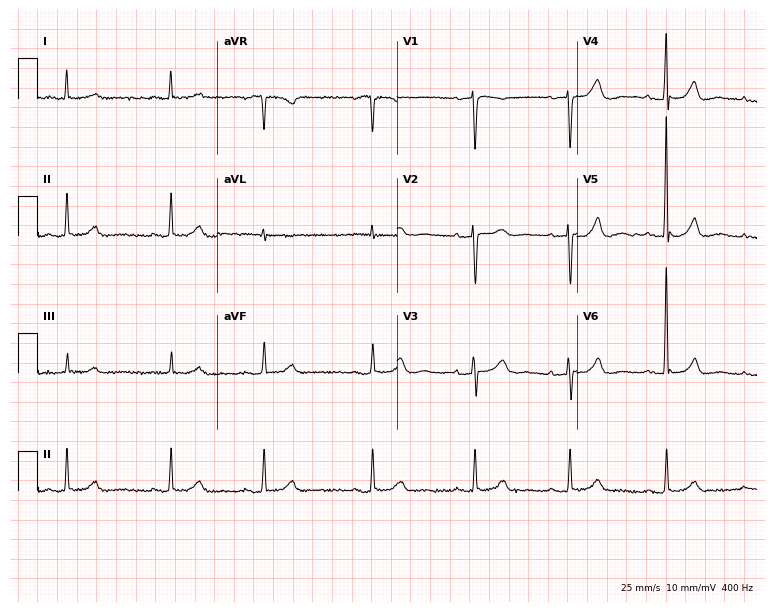
Standard 12-lead ECG recorded from an 84-year-old woman (7.3-second recording at 400 Hz). Read as a normal ECG.